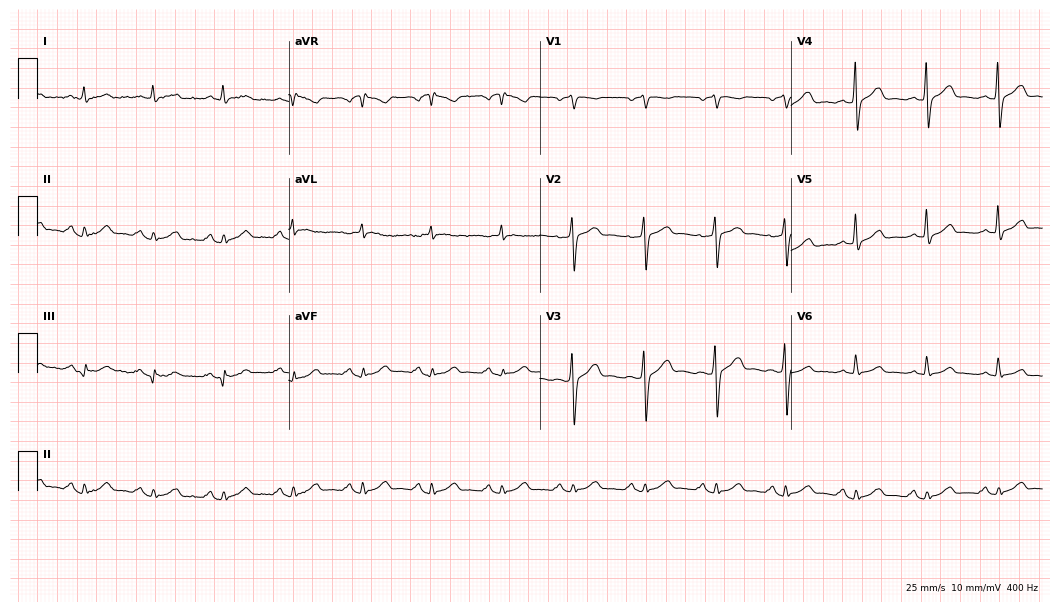
Electrocardiogram (10.2-second recording at 400 Hz), a man, 61 years old. Of the six screened findings (first-degree AV block, right bundle branch block (RBBB), left bundle branch block (LBBB), sinus bradycardia, atrial fibrillation (AF), sinus tachycardia), none is recorded. Findings outside these six are not listed.